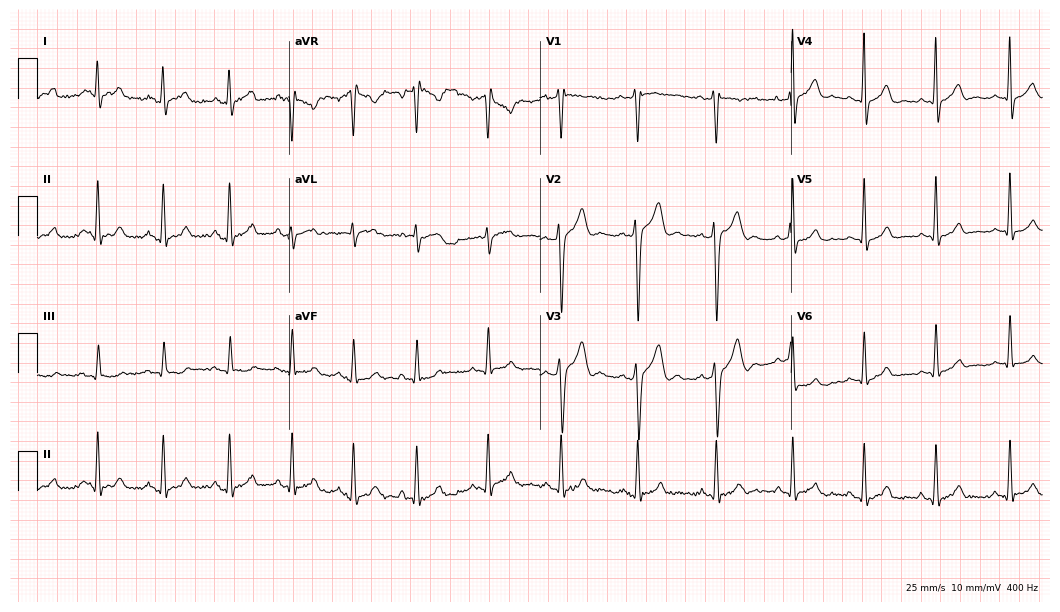
ECG (10.2-second recording at 400 Hz) — a man, 21 years old. Screened for six findings — first-degree AV block, right bundle branch block, left bundle branch block, sinus bradycardia, atrial fibrillation, sinus tachycardia — none is recorded.